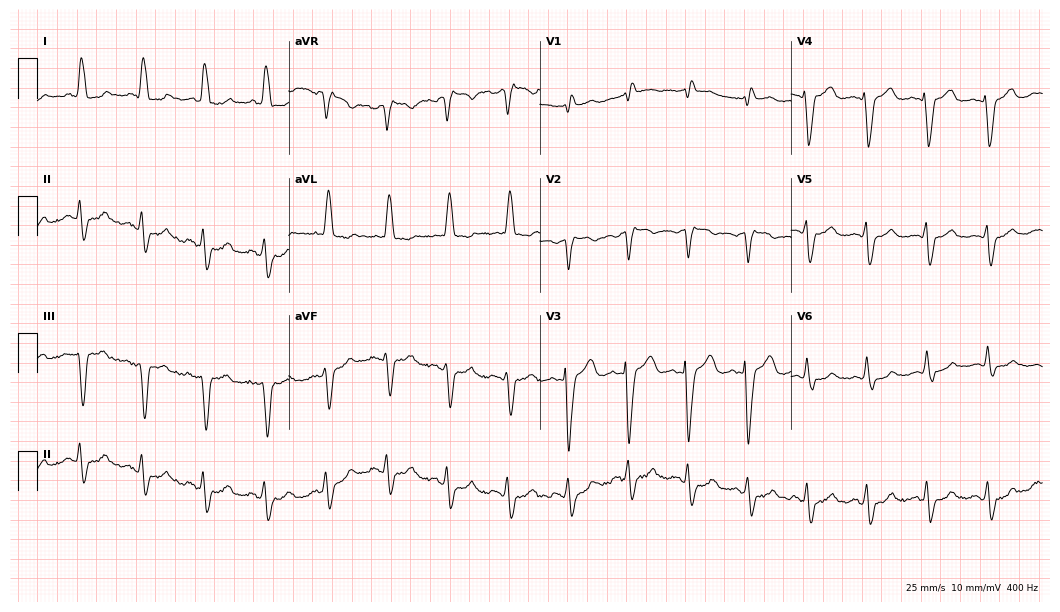
ECG — a 74-year-old female patient. Findings include right bundle branch block (RBBB).